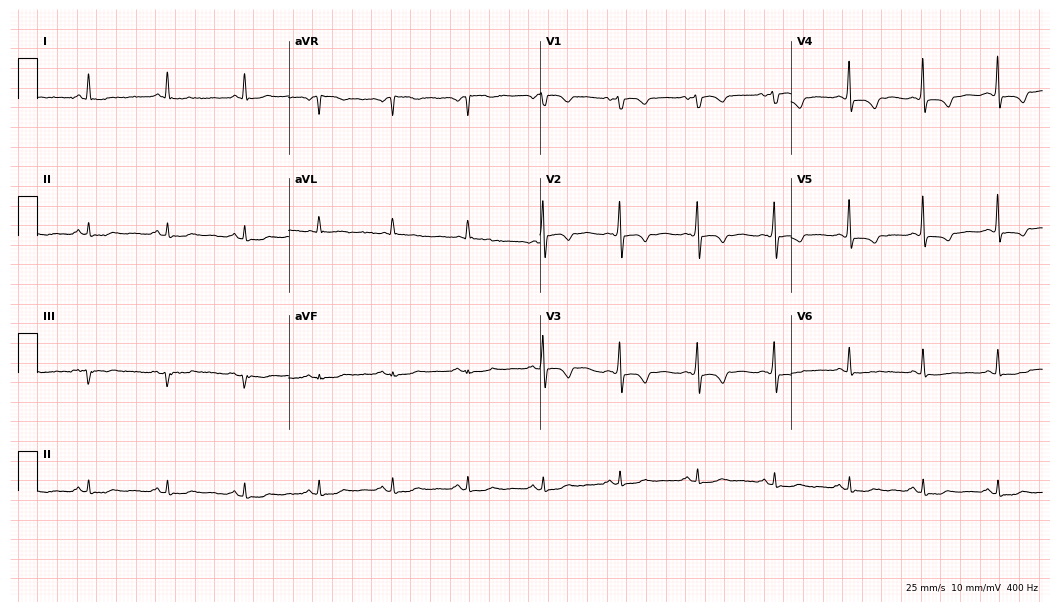
12-lead ECG (10.2-second recording at 400 Hz) from a 55-year-old female. Screened for six findings — first-degree AV block, right bundle branch block (RBBB), left bundle branch block (LBBB), sinus bradycardia, atrial fibrillation (AF), sinus tachycardia — none is recorded.